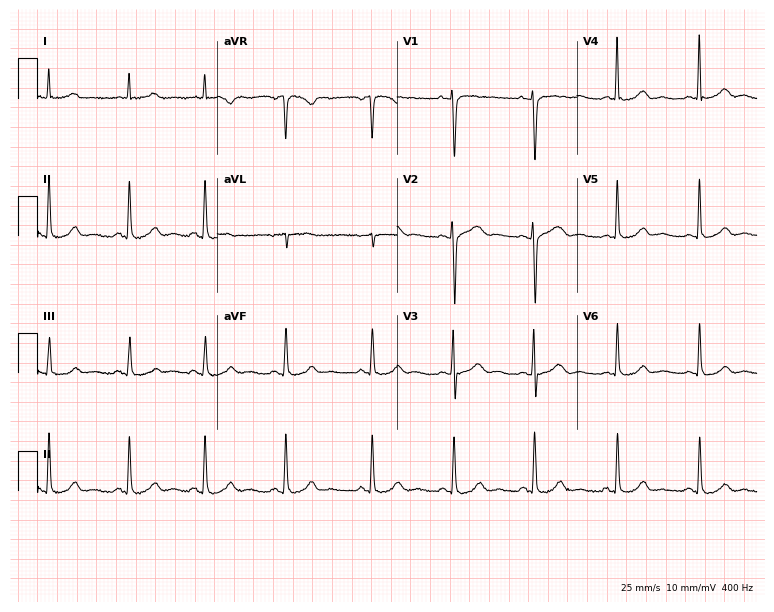
Resting 12-lead electrocardiogram. Patient: a 32-year-old female. None of these six findings is recorded: first-degree AV block, right bundle branch block (RBBB), left bundle branch block (LBBB), sinus bradycardia, atrial fibrillation (AF), sinus tachycardia. Other findings, if any, are not listed.